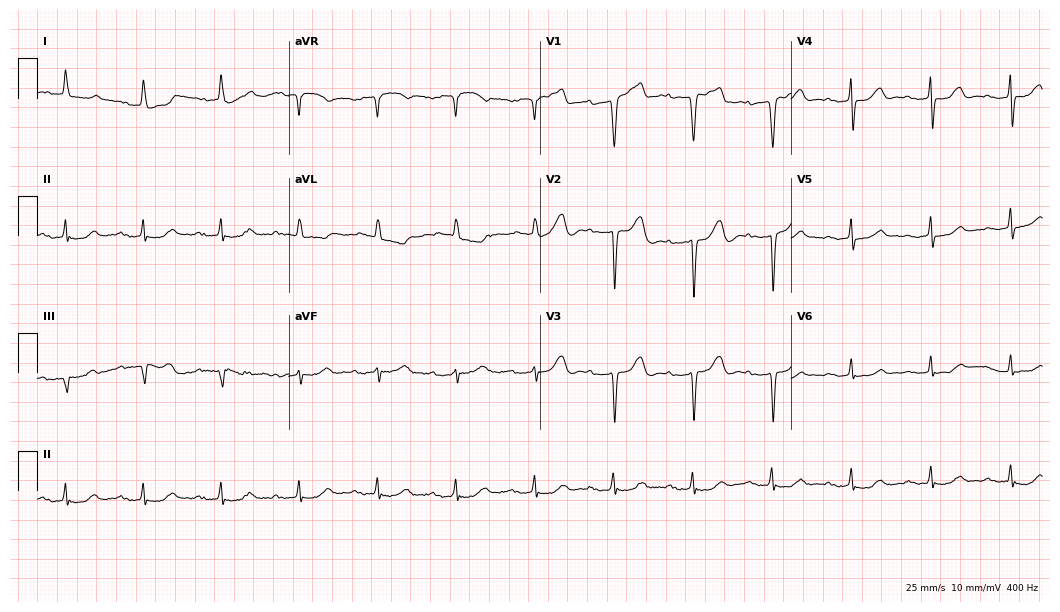
12-lead ECG (10.2-second recording at 400 Hz) from an 83-year-old female. Findings include first-degree AV block.